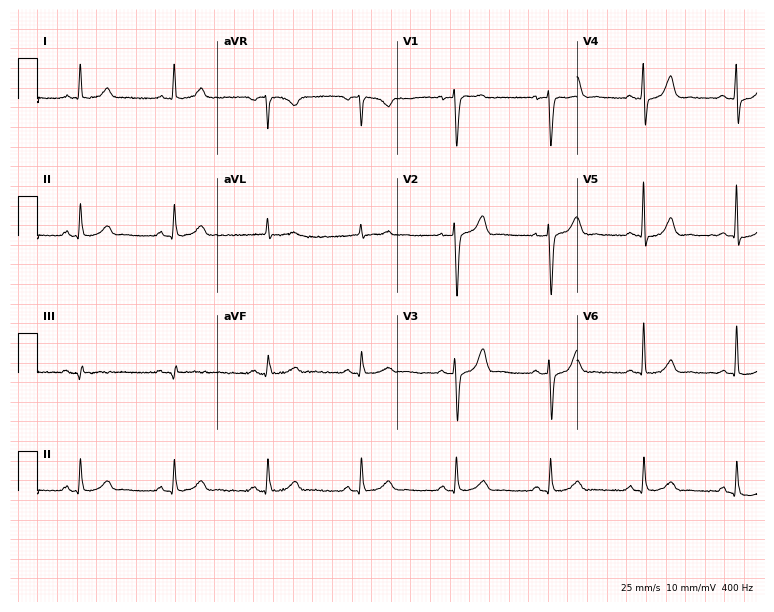
Standard 12-lead ECG recorded from a male, 76 years old. Read as a normal ECG.